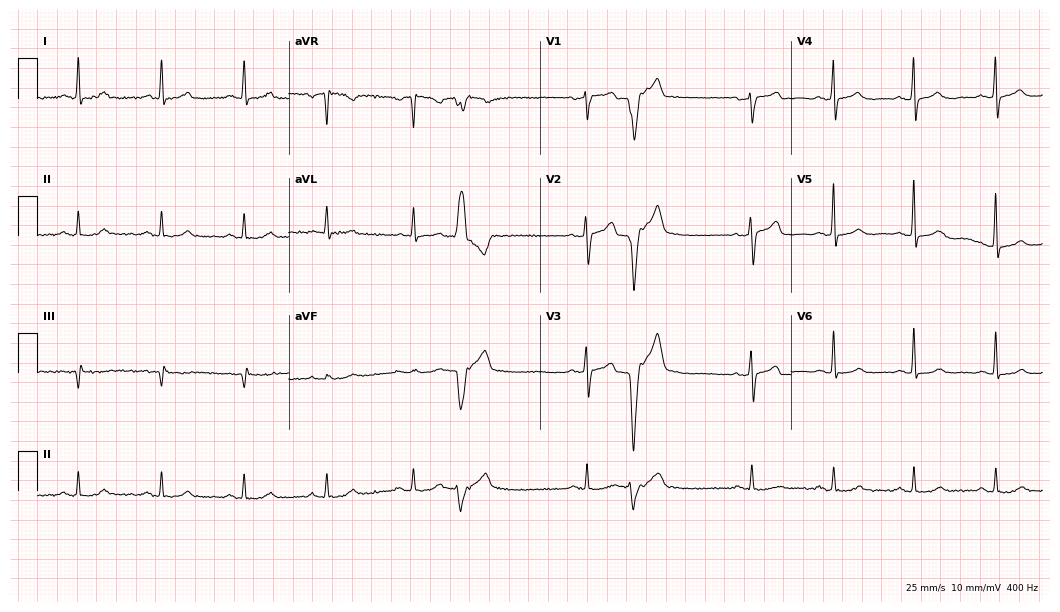
12-lead ECG from a 77-year-old male (10.2-second recording at 400 Hz). Recorded interpretation: within normal limits.